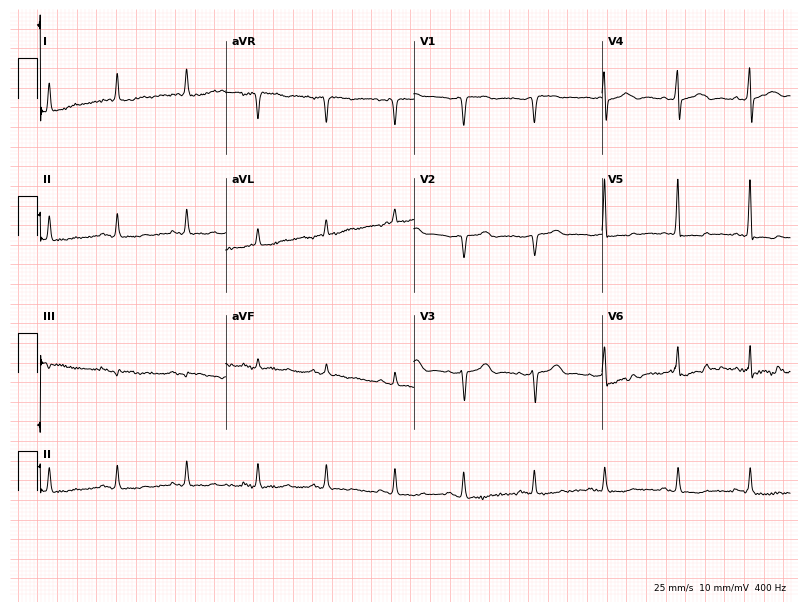
12-lead ECG from an 83-year-old woman. Screened for six findings — first-degree AV block, right bundle branch block, left bundle branch block, sinus bradycardia, atrial fibrillation, sinus tachycardia — none is recorded. Other findings, if any, are not listed.